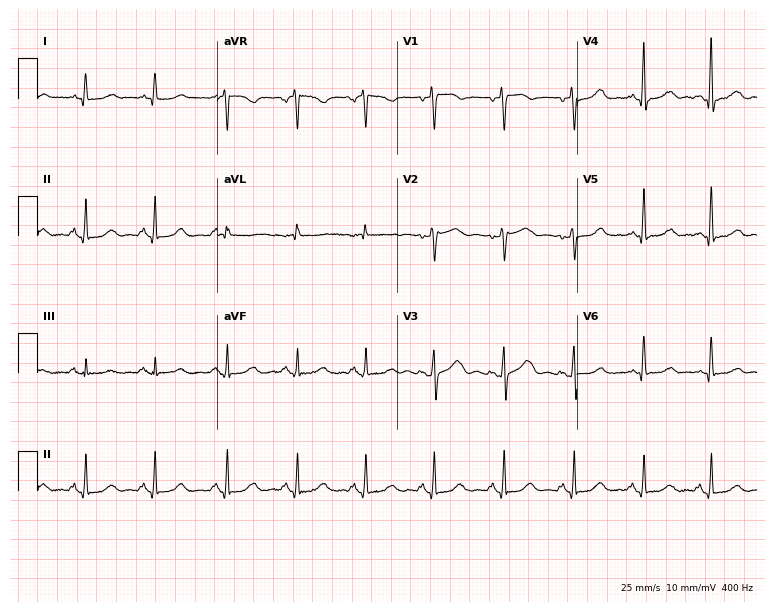
Electrocardiogram, a woman, 52 years old. Overall reading on record: normal ECG.